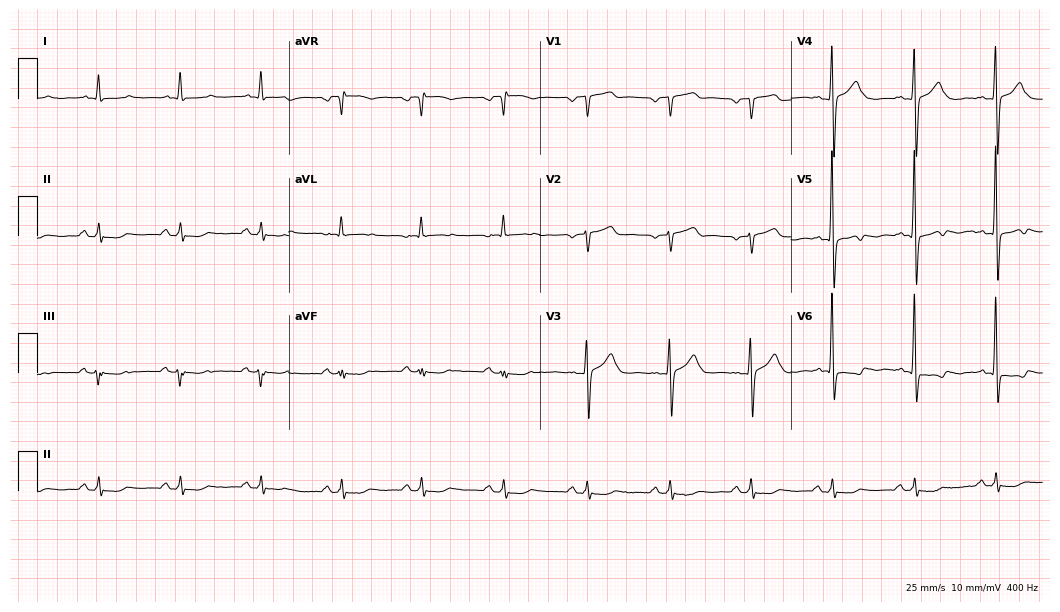
ECG (10.2-second recording at 400 Hz) — a male, 64 years old. Screened for six findings — first-degree AV block, right bundle branch block, left bundle branch block, sinus bradycardia, atrial fibrillation, sinus tachycardia — none is recorded. Other findings, if any, are not listed.